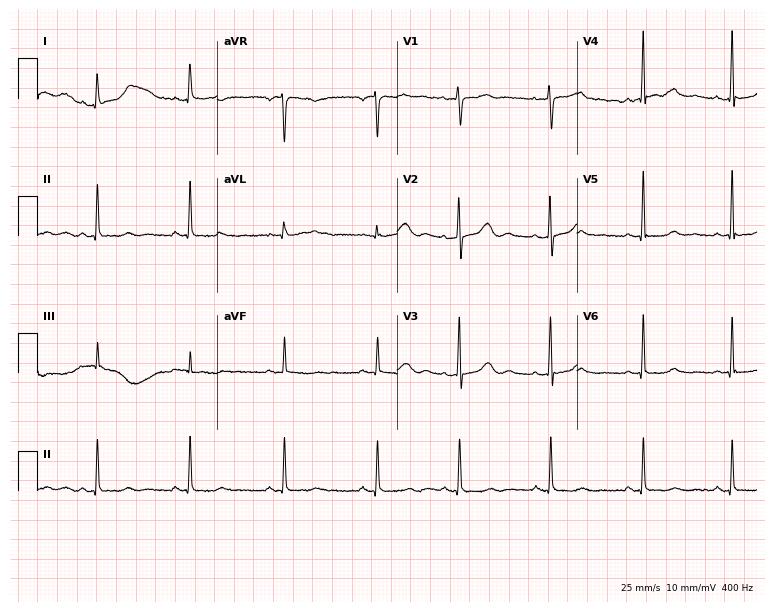
Electrocardiogram (7.3-second recording at 400 Hz), a 36-year-old female. Overall reading on record: normal ECG.